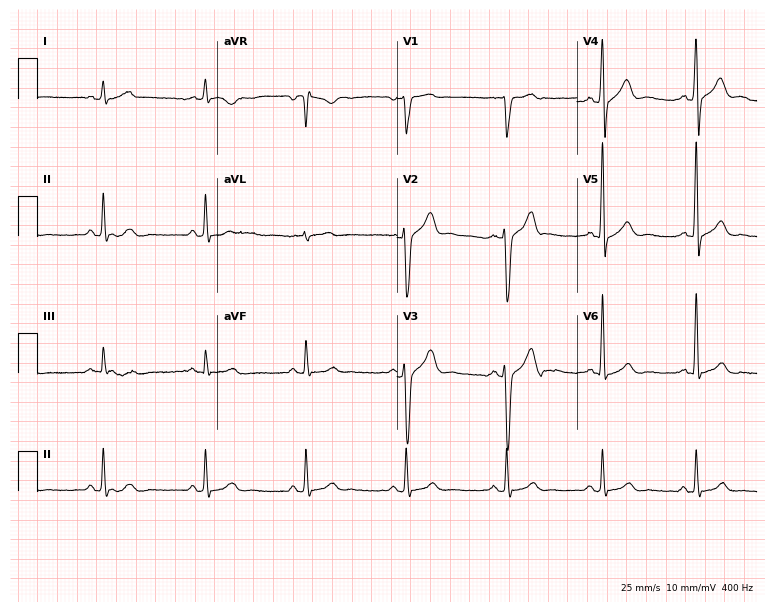
Electrocardiogram, a 28-year-old male. Overall reading on record: normal ECG.